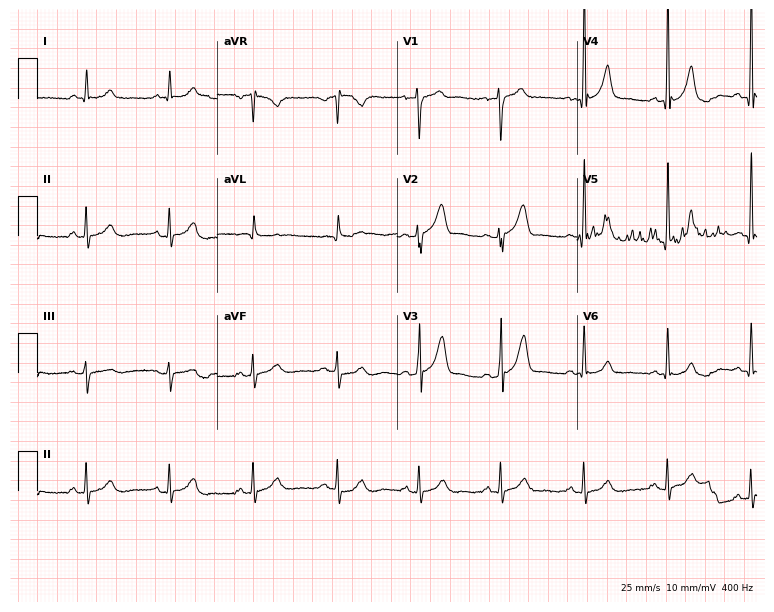
12-lead ECG from a 39-year-old male. No first-degree AV block, right bundle branch block (RBBB), left bundle branch block (LBBB), sinus bradycardia, atrial fibrillation (AF) or sinus tachycardia recorded for this tracing.